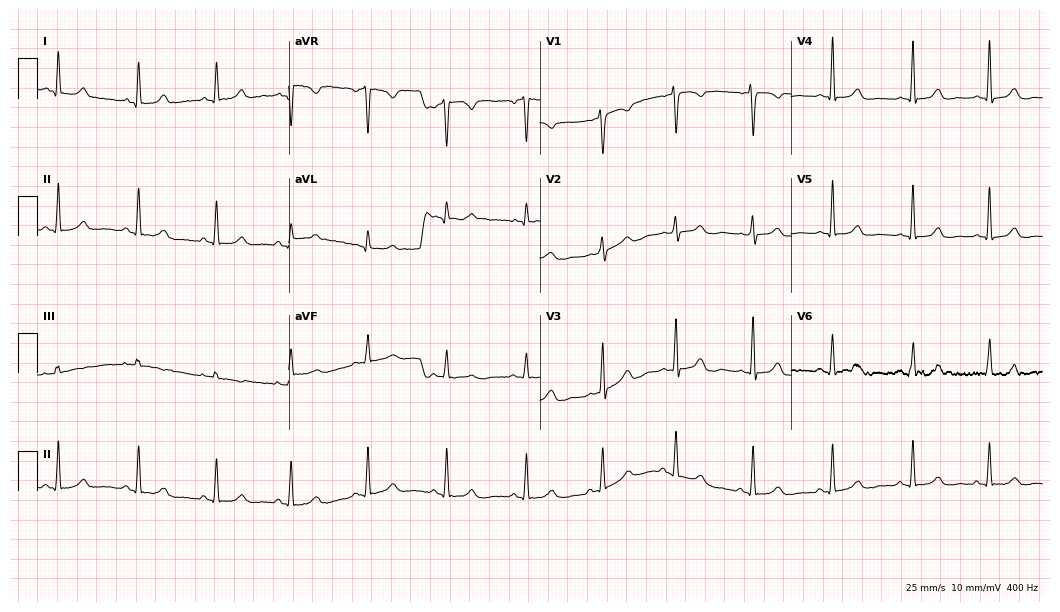
12-lead ECG (10.2-second recording at 400 Hz) from a female patient, 31 years old. Labelled as a normal ECG.